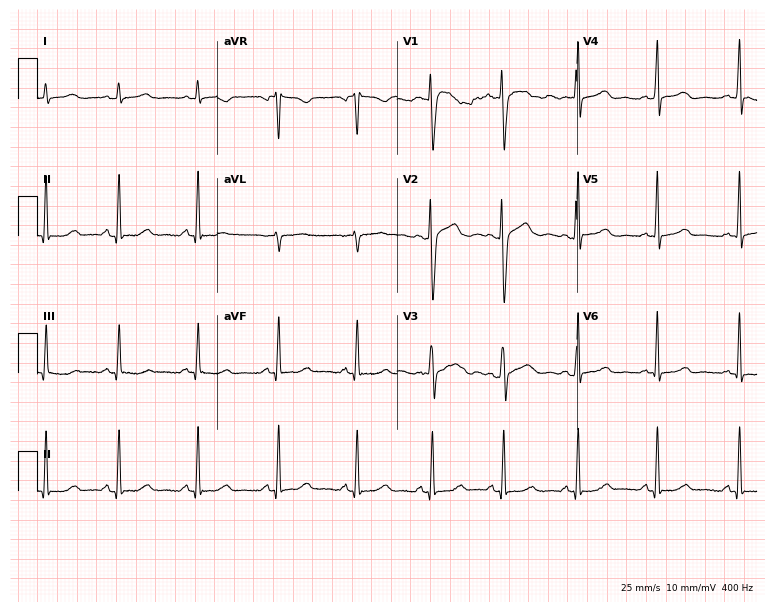
Electrocardiogram (7.3-second recording at 400 Hz), a female, 52 years old. Overall reading on record: normal ECG.